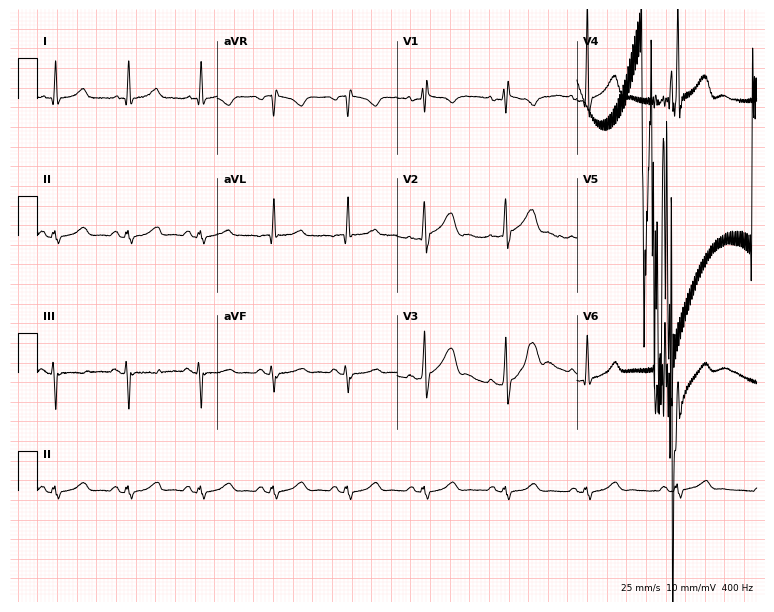
Standard 12-lead ECG recorded from a 61-year-old male patient. None of these six findings is recorded: first-degree AV block, right bundle branch block, left bundle branch block, sinus bradycardia, atrial fibrillation, sinus tachycardia. Only these six findings were labelled.